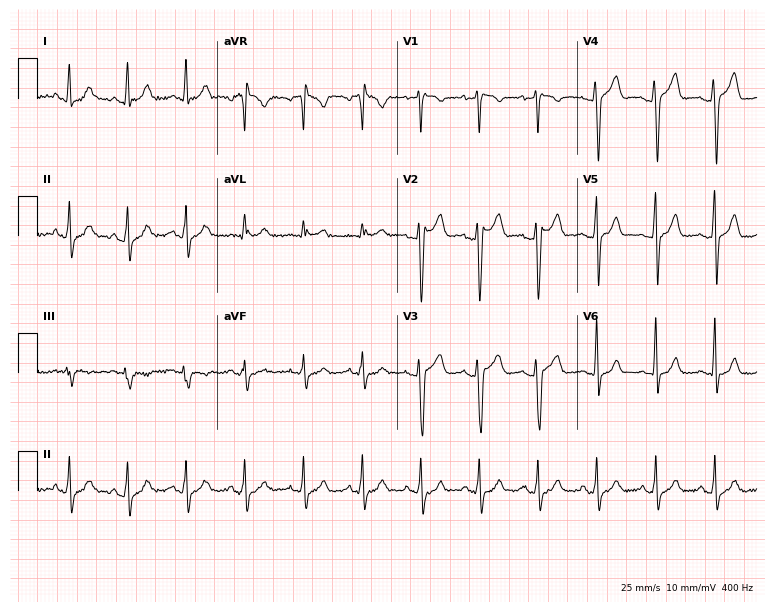
Electrocardiogram (7.3-second recording at 400 Hz), a man, 40 years old. Interpretation includes sinus tachycardia (a sinus rate of 100 beats per minute or more).